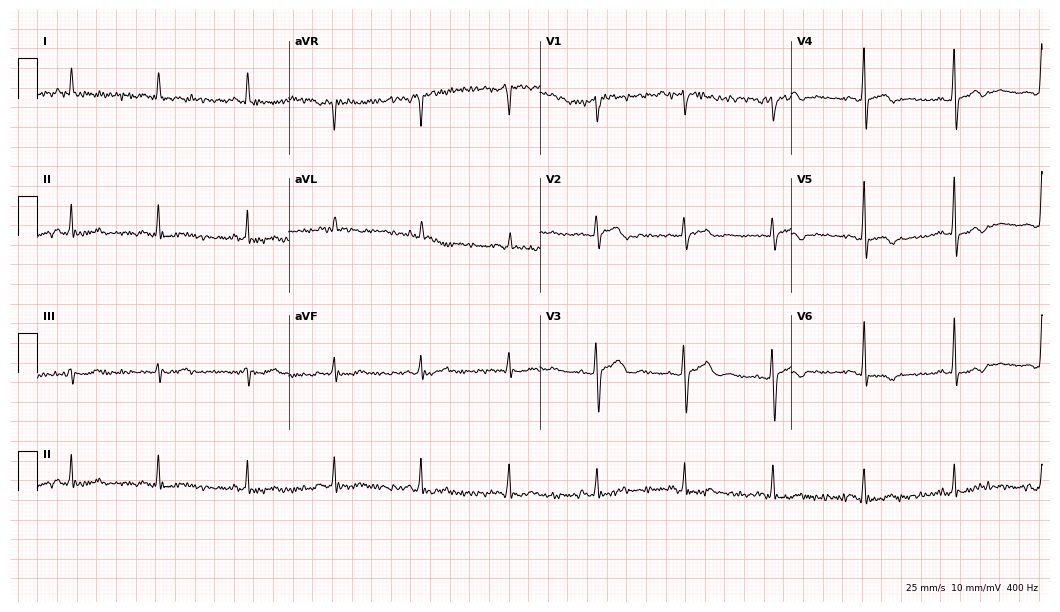
Standard 12-lead ECG recorded from a 69-year-old male patient. None of these six findings is recorded: first-degree AV block, right bundle branch block, left bundle branch block, sinus bradycardia, atrial fibrillation, sinus tachycardia. Findings outside these six are not listed.